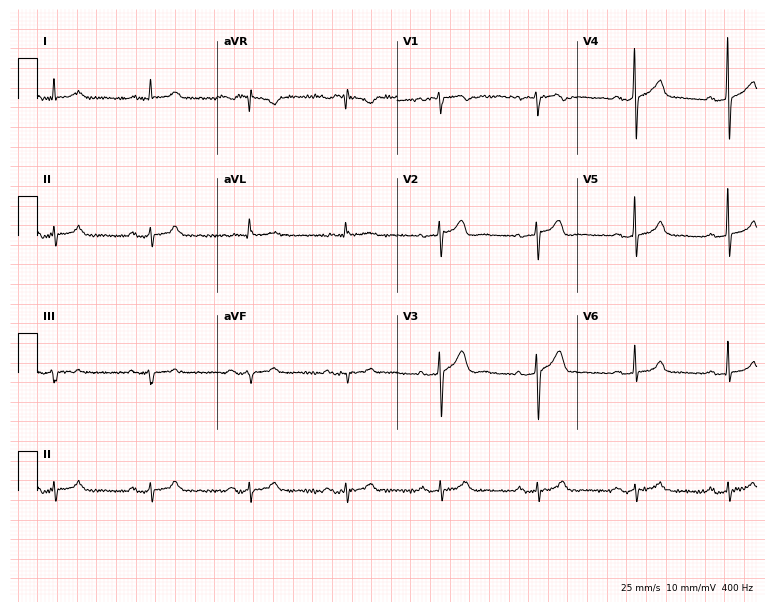
12-lead ECG (7.3-second recording at 400 Hz) from a 59-year-old man. Screened for six findings — first-degree AV block, right bundle branch block, left bundle branch block, sinus bradycardia, atrial fibrillation, sinus tachycardia — none is recorded.